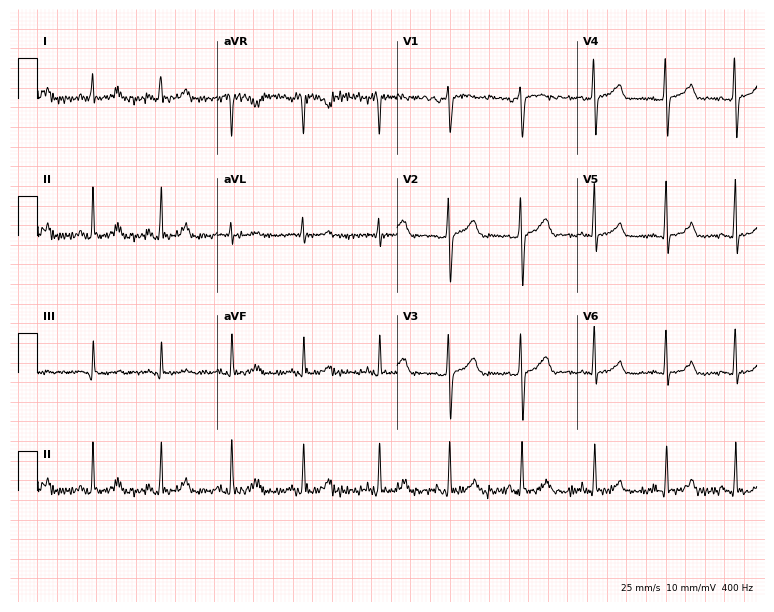
Standard 12-lead ECG recorded from a 34-year-old female patient (7.3-second recording at 400 Hz). Read as a normal ECG.